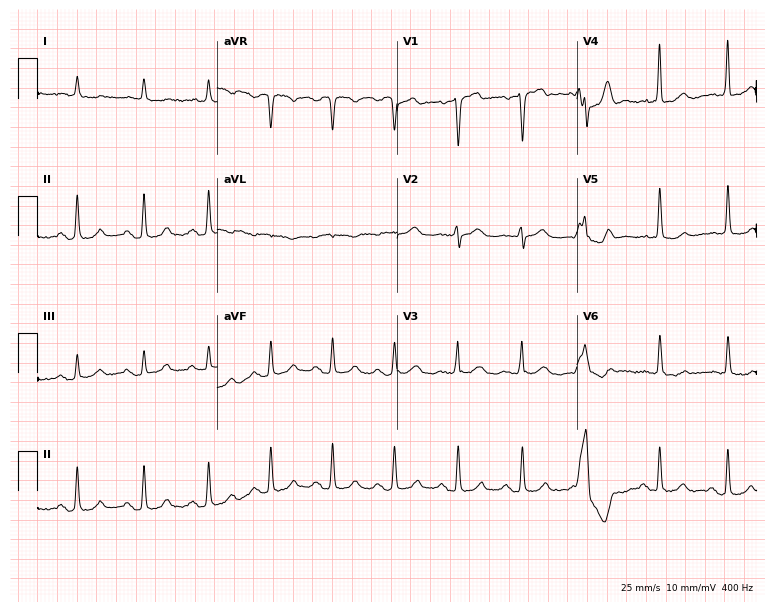
Resting 12-lead electrocardiogram. Patient: a 71-year-old male. None of these six findings is recorded: first-degree AV block, right bundle branch block, left bundle branch block, sinus bradycardia, atrial fibrillation, sinus tachycardia.